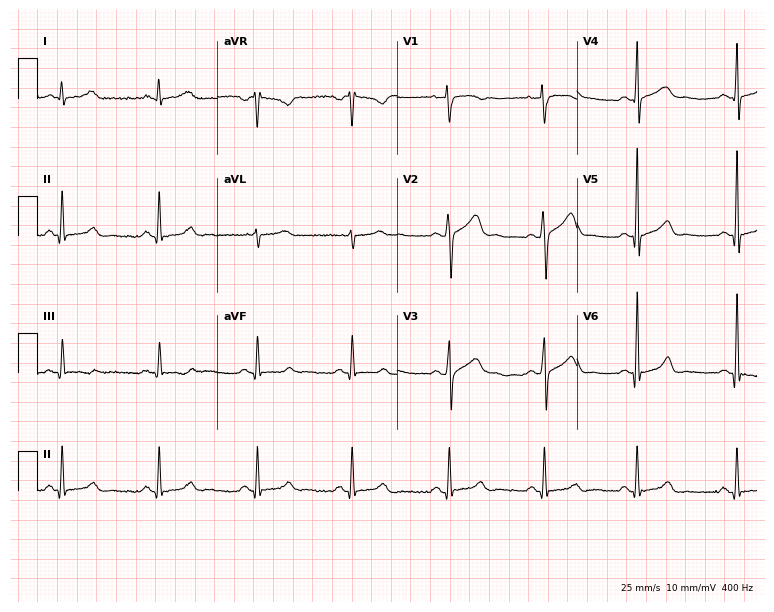
Standard 12-lead ECG recorded from a 30-year-old female patient (7.3-second recording at 400 Hz). None of these six findings is recorded: first-degree AV block, right bundle branch block, left bundle branch block, sinus bradycardia, atrial fibrillation, sinus tachycardia.